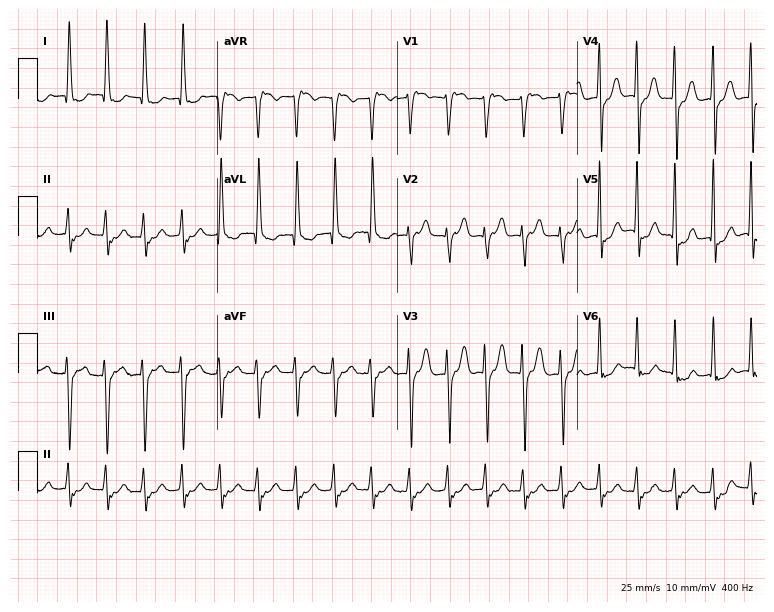
12-lead ECG (7.3-second recording at 400 Hz) from a man, 83 years old. Screened for six findings — first-degree AV block, right bundle branch block, left bundle branch block, sinus bradycardia, atrial fibrillation, sinus tachycardia — none is recorded. Other findings, if any, are not listed.